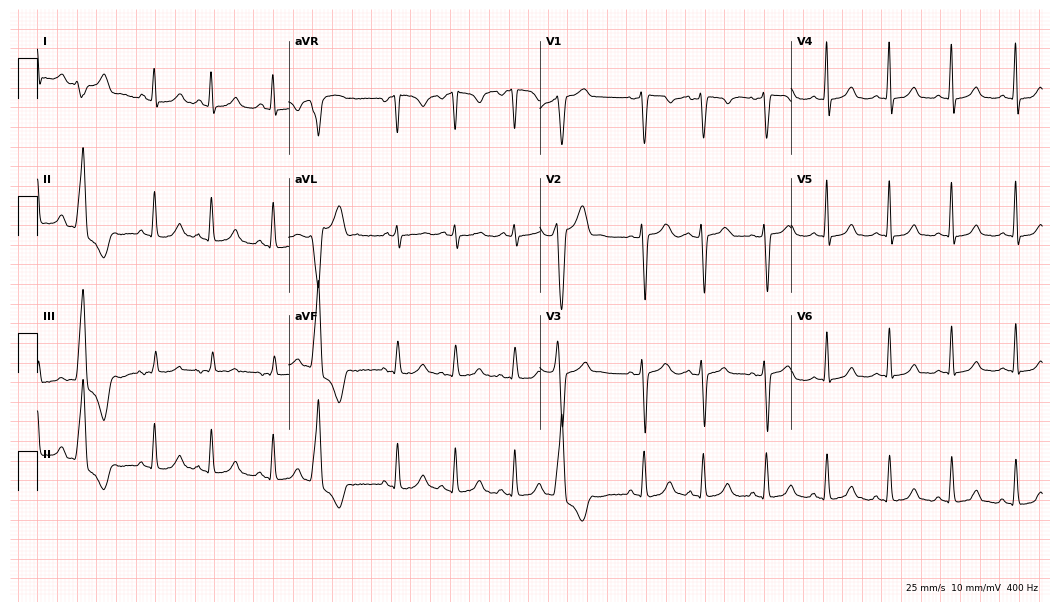
ECG — a 32-year-old female. Screened for six findings — first-degree AV block, right bundle branch block, left bundle branch block, sinus bradycardia, atrial fibrillation, sinus tachycardia — none is recorded. Findings outside these six are not listed.